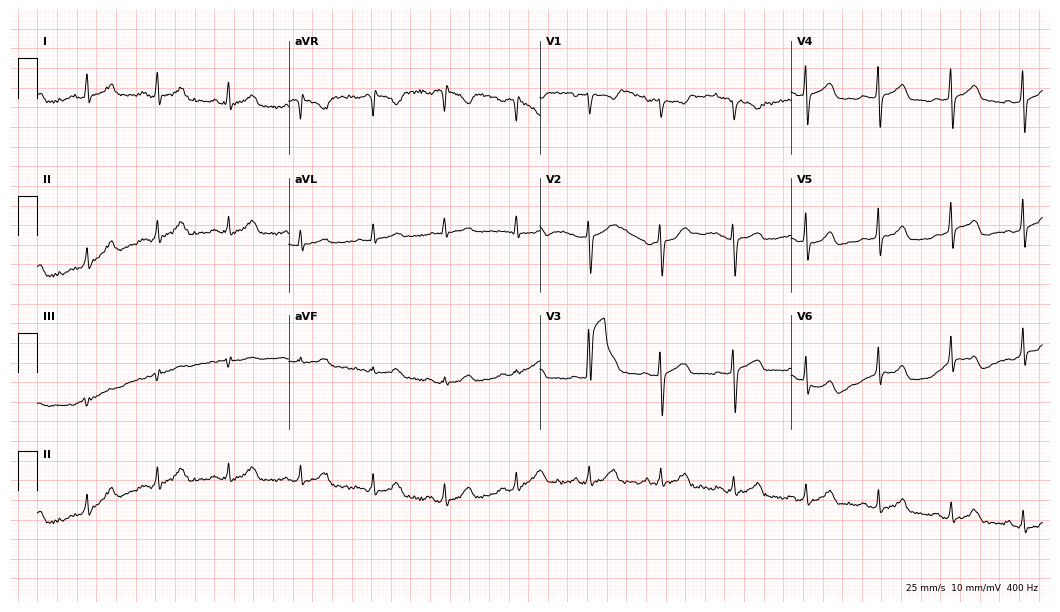
12-lead ECG from a 29-year-old female patient. Recorded interpretation: within normal limits.